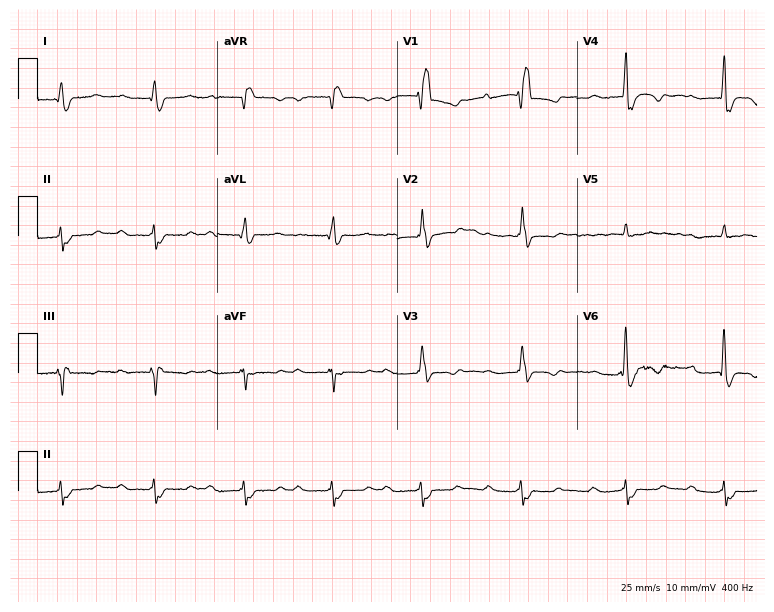
12-lead ECG (7.3-second recording at 400 Hz) from an 80-year-old female. Findings include first-degree AV block, right bundle branch block.